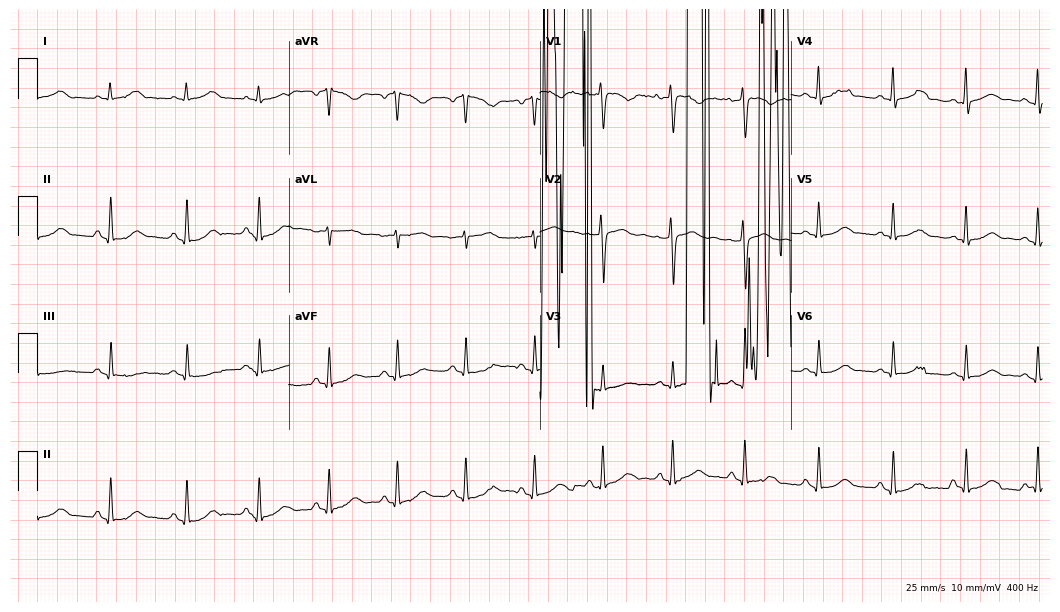
Resting 12-lead electrocardiogram. Patient: a 32-year-old female. None of these six findings is recorded: first-degree AV block, right bundle branch block, left bundle branch block, sinus bradycardia, atrial fibrillation, sinus tachycardia. Other findings, if any, are not listed.